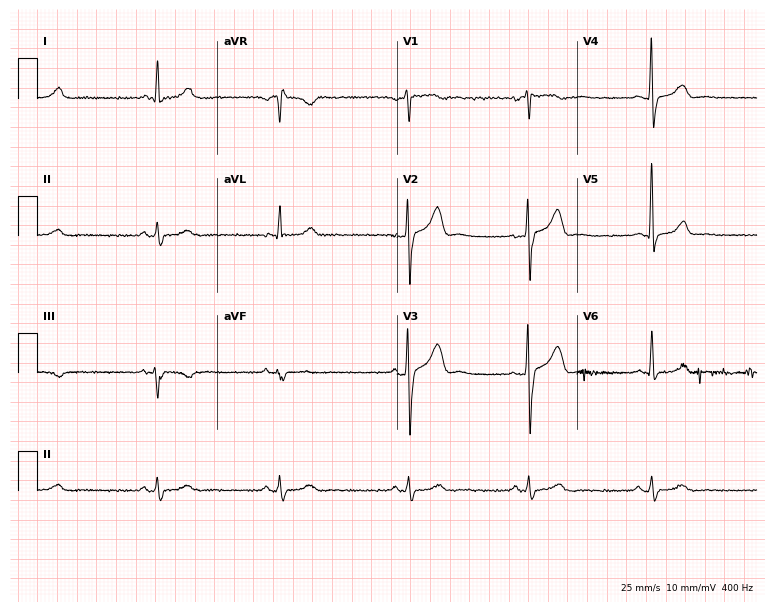
Standard 12-lead ECG recorded from a 47-year-old male. The tracing shows sinus bradycardia (a sinus rate of 50 beats per minute or less).